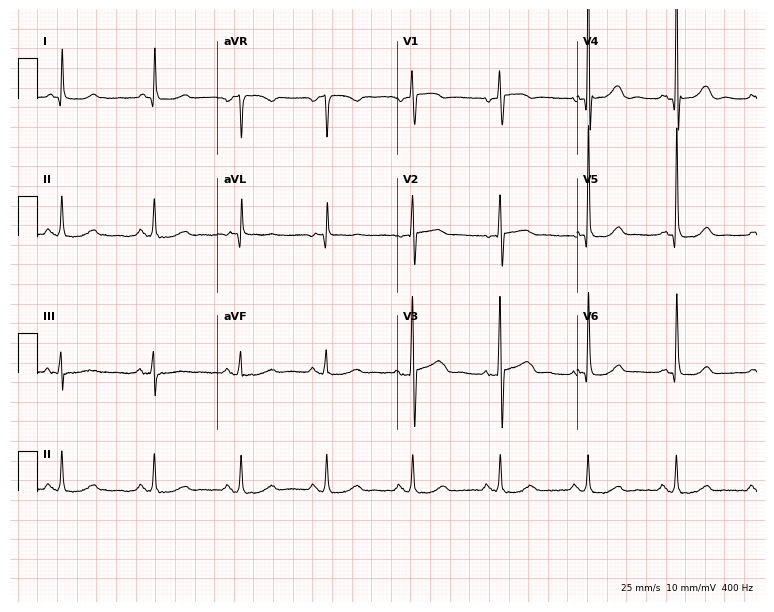
ECG — an 84-year-old female. Labelled as a normal ECG.